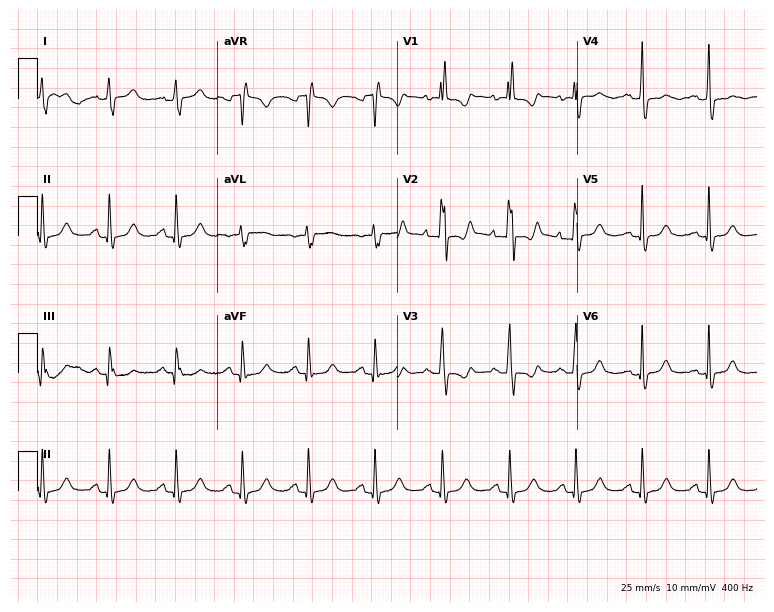
ECG (7.3-second recording at 400 Hz) — a 38-year-old female. Screened for six findings — first-degree AV block, right bundle branch block, left bundle branch block, sinus bradycardia, atrial fibrillation, sinus tachycardia — none is recorded. Other findings, if any, are not listed.